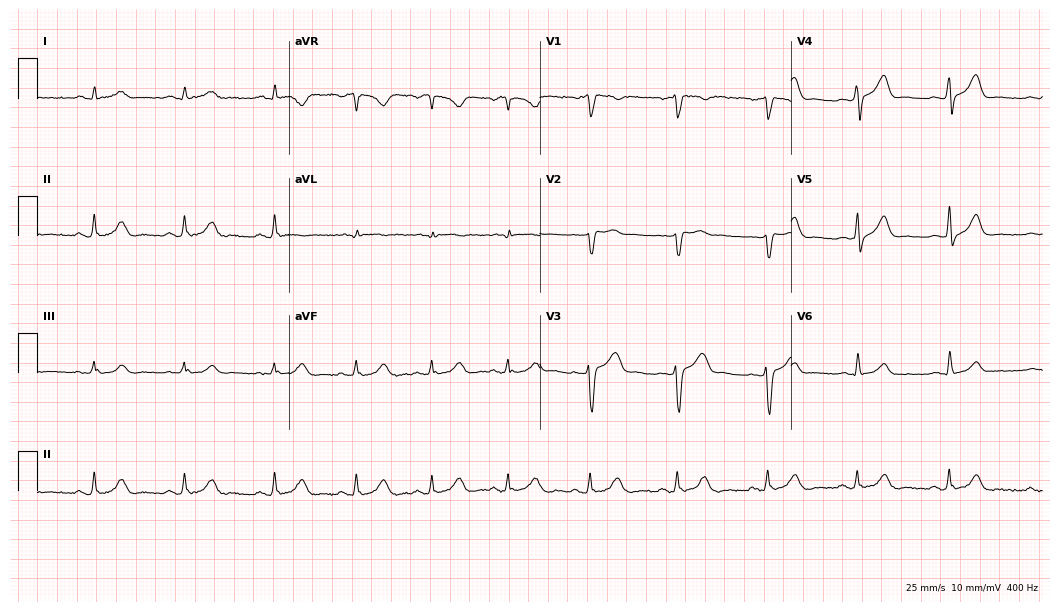
12-lead ECG from a 43-year-old male. Labelled as a normal ECG.